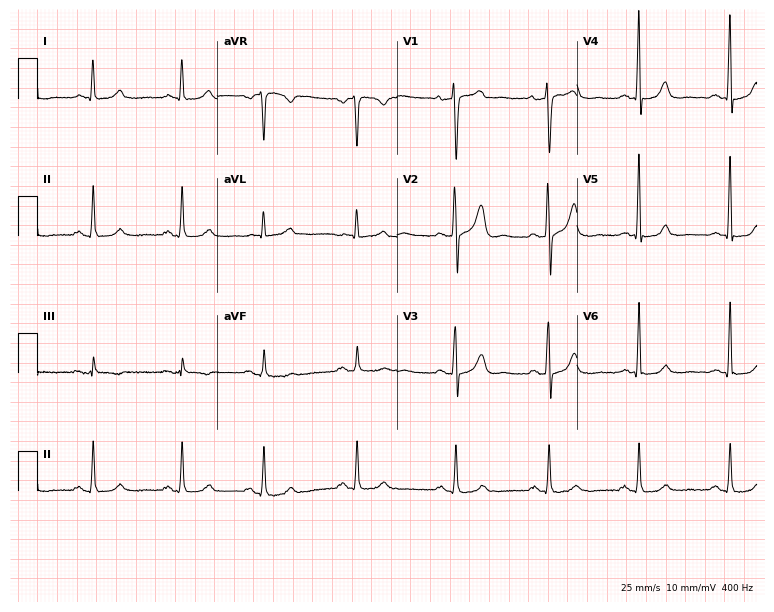
Resting 12-lead electrocardiogram. Patient: a 26-year-old man. Read as a normal ECG.